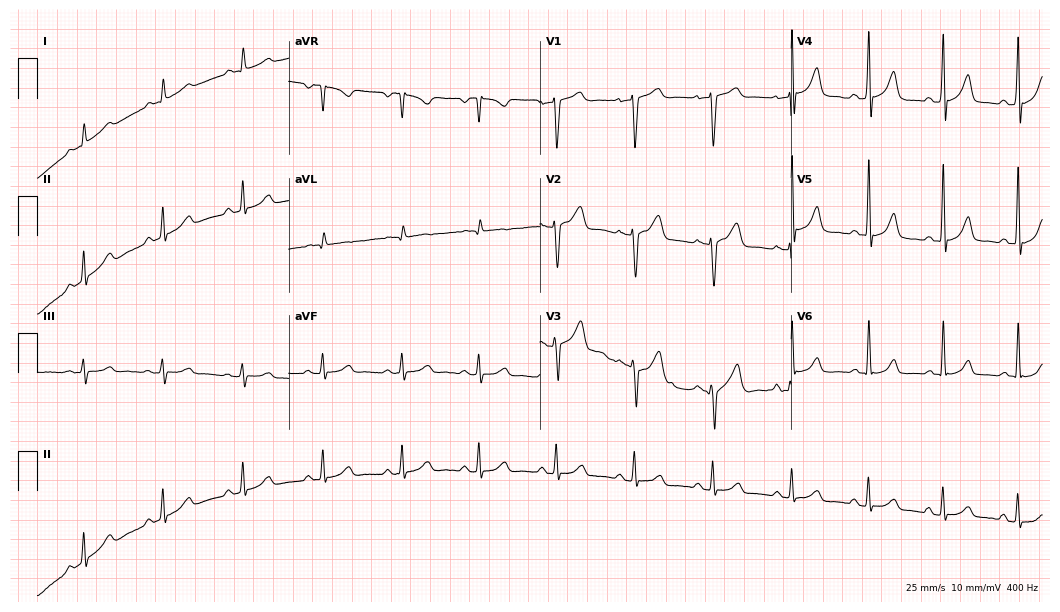
ECG (10.2-second recording at 400 Hz) — a 42-year-old man. Labelled as a normal ECG.